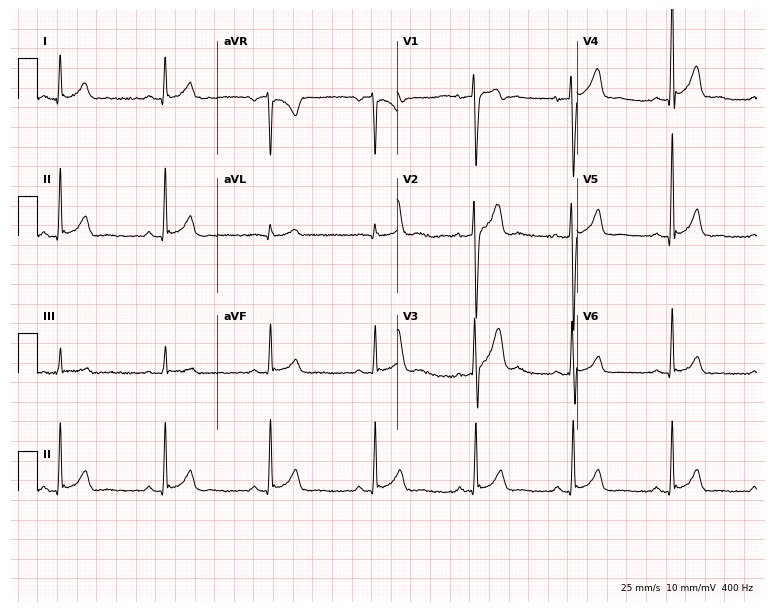
ECG (7.3-second recording at 400 Hz) — a 33-year-old man. Screened for six findings — first-degree AV block, right bundle branch block (RBBB), left bundle branch block (LBBB), sinus bradycardia, atrial fibrillation (AF), sinus tachycardia — none is recorded.